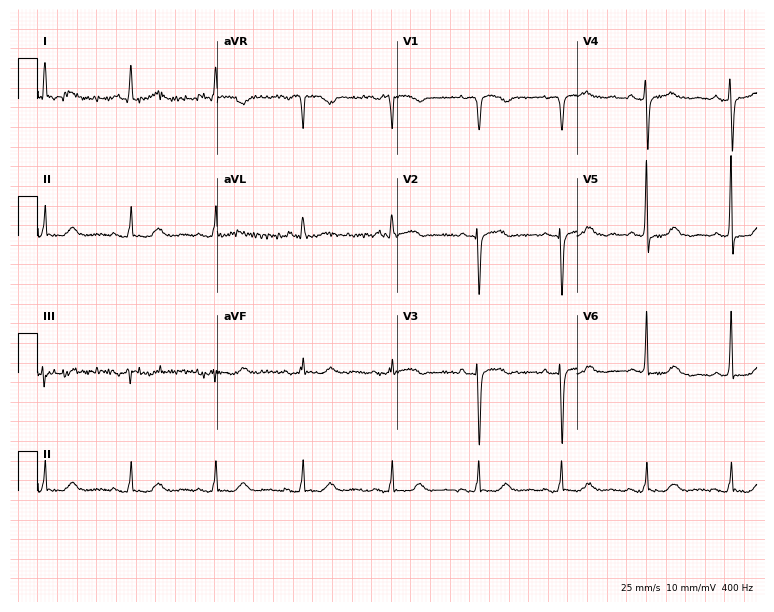
12-lead ECG (7.3-second recording at 400 Hz) from a woman, 66 years old. Labelled as a normal ECG.